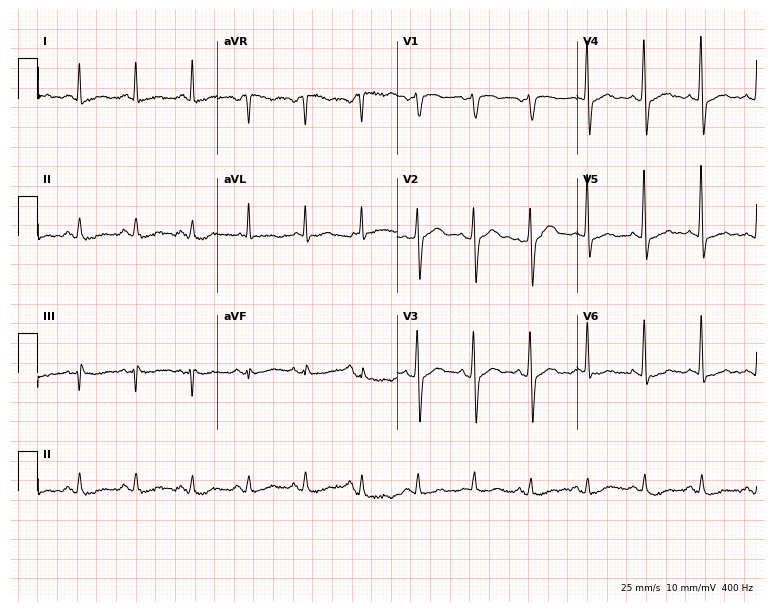
Electrocardiogram (7.3-second recording at 400 Hz), a man, 64 years old. Of the six screened findings (first-degree AV block, right bundle branch block, left bundle branch block, sinus bradycardia, atrial fibrillation, sinus tachycardia), none is recorded. Only these six findings were labelled.